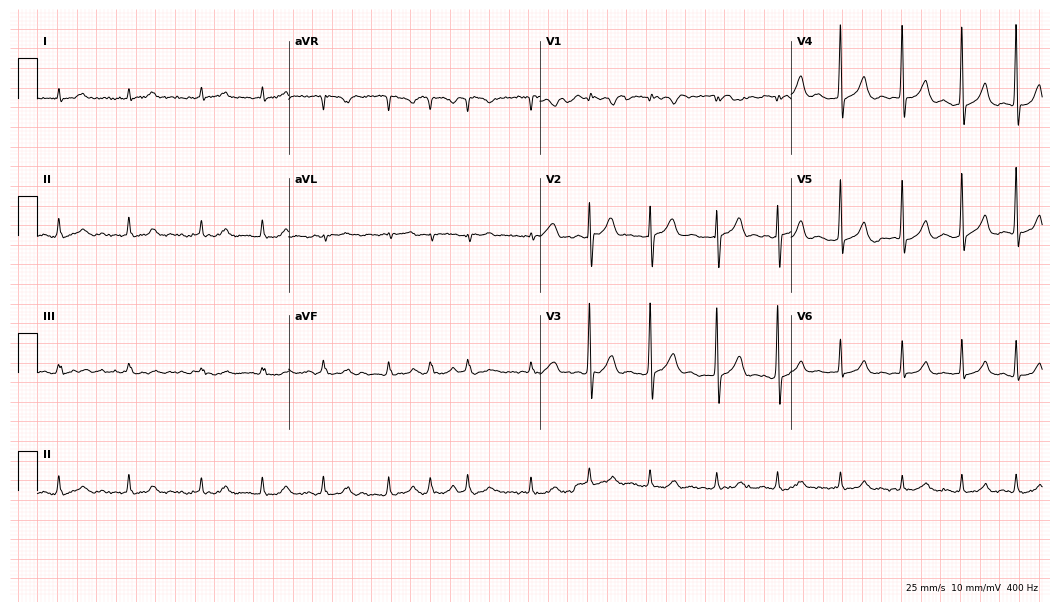
Electrocardiogram, an 81-year-old male. Interpretation includes atrial fibrillation (AF).